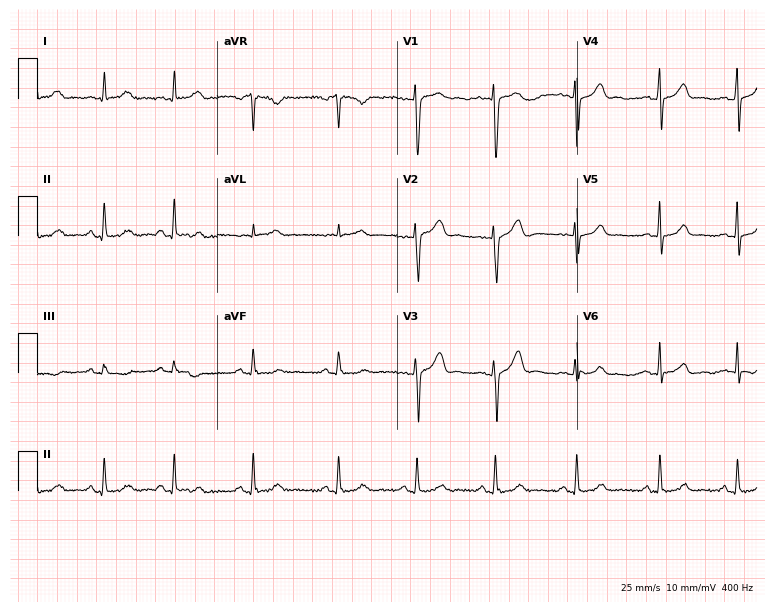
Standard 12-lead ECG recorded from a female patient, 17 years old (7.3-second recording at 400 Hz). None of these six findings is recorded: first-degree AV block, right bundle branch block (RBBB), left bundle branch block (LBBB), sinus bradycardia, atrial fibrillation (AF), sinus tachycardia. Only these six findings were labelled.